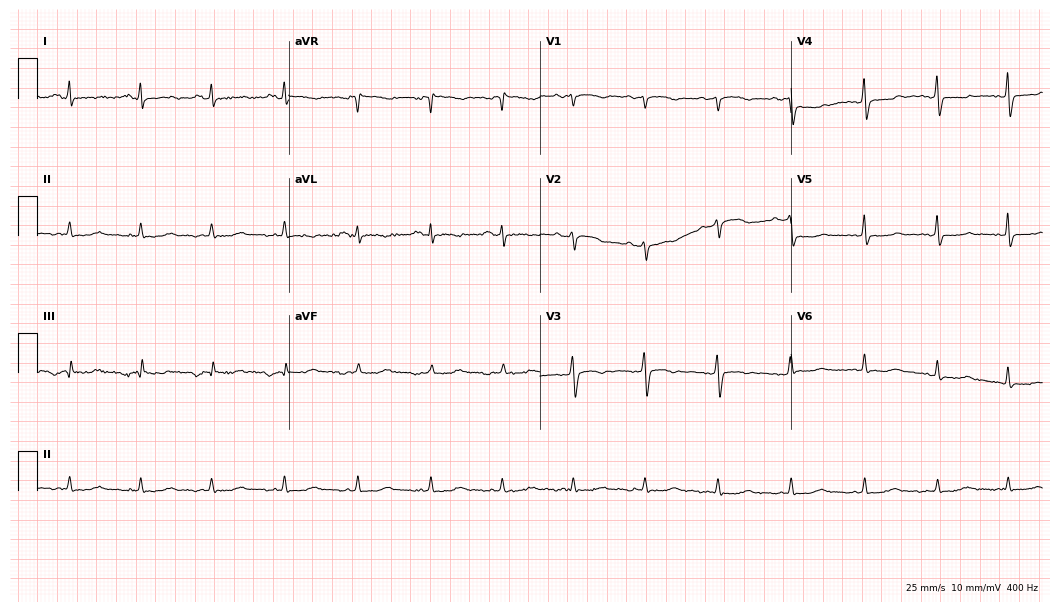
12-lead ECG from a woman, 61 years old. Screened for six findings — first-degree AV block, right bundle branch block, left bundle branch block, sinus bradycardia, atrial fibrillation, sinus tachycardia — none is recorded.